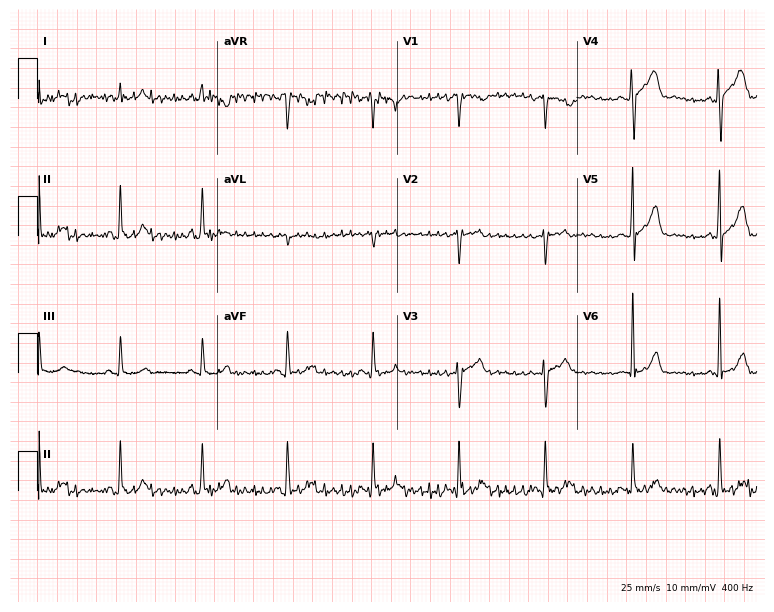
Resting 12-lead electrocardiogram (7.3-second recording at 400 Hz). Patient: a 58-year-old male. None of these six findings is recorded: first-degree AV block, right bundle branch block, left bundle branch block, sinus bradycardia, atrial fibrillation, sinus tachycardia. Findings outside these six are not listed.